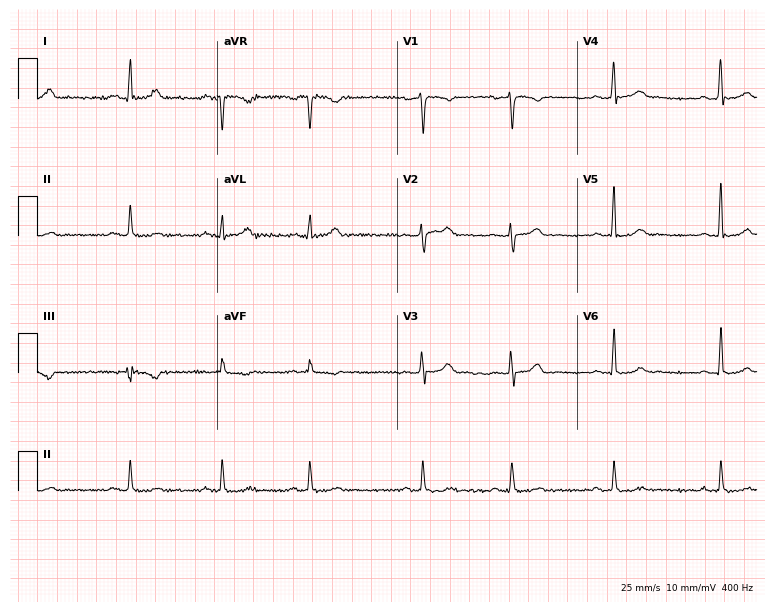
Standard 12-lead ECG recorded from a female patient, 45 years old. None of these six findings is recorded: first-degree AV block, right bundle branch block, left bundle branch block, sinus bradycardia, atrial fibrillation, sinus tachycardia.